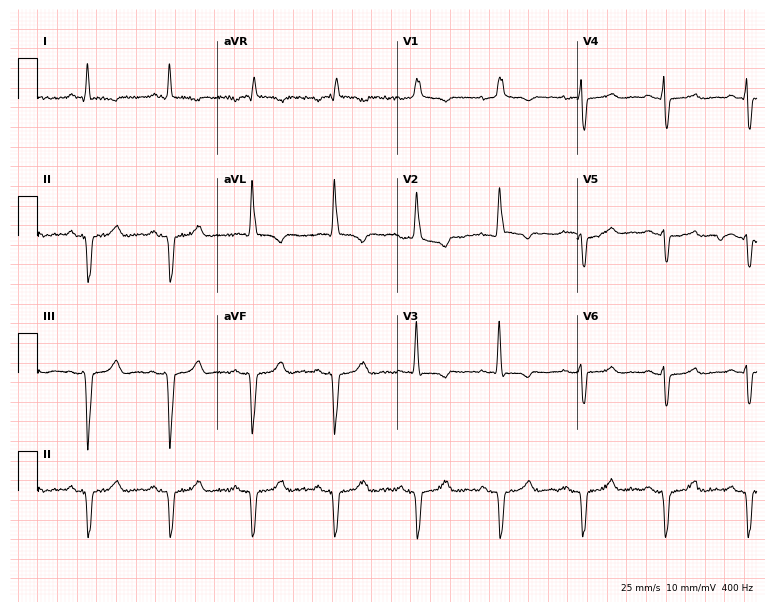
12-lead ECG (7.3-second recording at 400 Hz) from a 58-year-old female patient. Screened for six findings — first-degree AV block, right bundle branch block, left bundle branch block, sinus bradycardia, atrial fibrillation, sinus tachycardia — none is recorded.